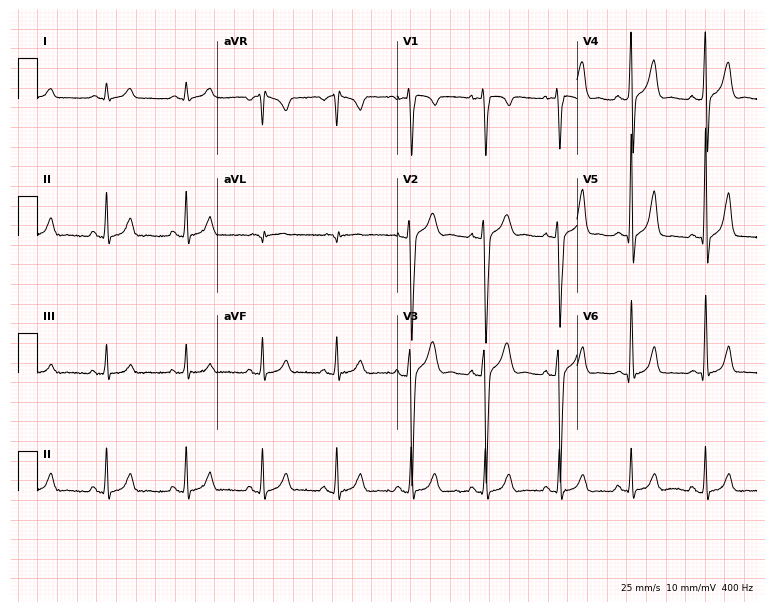
12-lead ECG from a 25-year-old male patient. Screened for six findings — first-degree AV block, right bundle branch block (RBBB), left bundle branch block (LBBB), sinus bradycardia, atrial fibrillation (AF), sinus tachycardia — none is recorded. Findings outside these six are not listed.